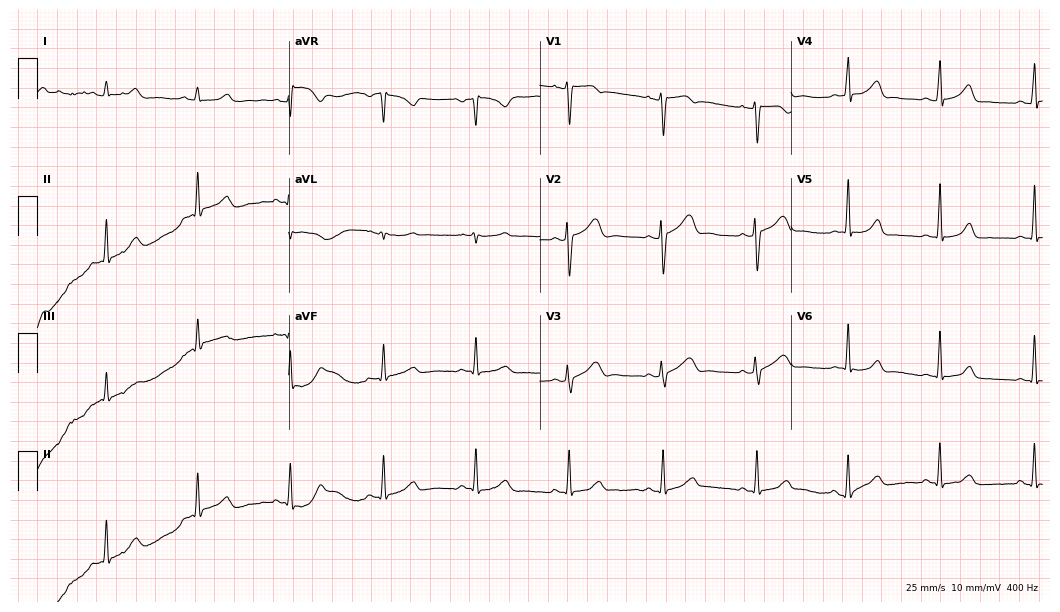
12-lead ECG (10.2-second recording at 400 Hz) from a 47-year-old female patient. Screened for six findings — first-degree AV block, right bundle branch block, left bundle branch block, sinus bradycardia, atrial fibrillation, sinus tachycardia — none is recorded. Findings outside these six are not listed.